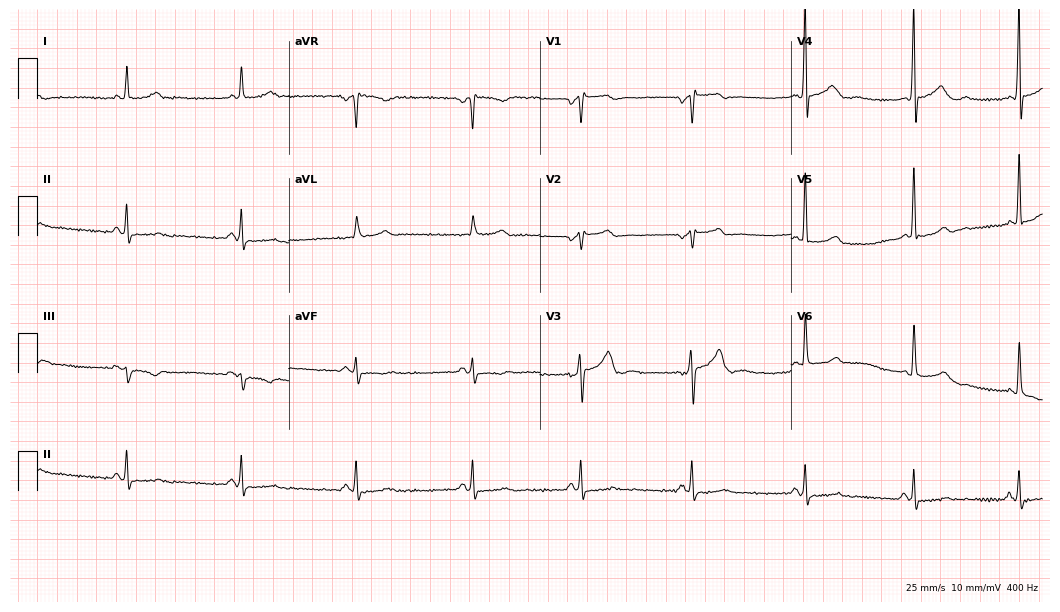
Electrocardiogram, a man, 59 years old. Overall reading on record: normal ECG.